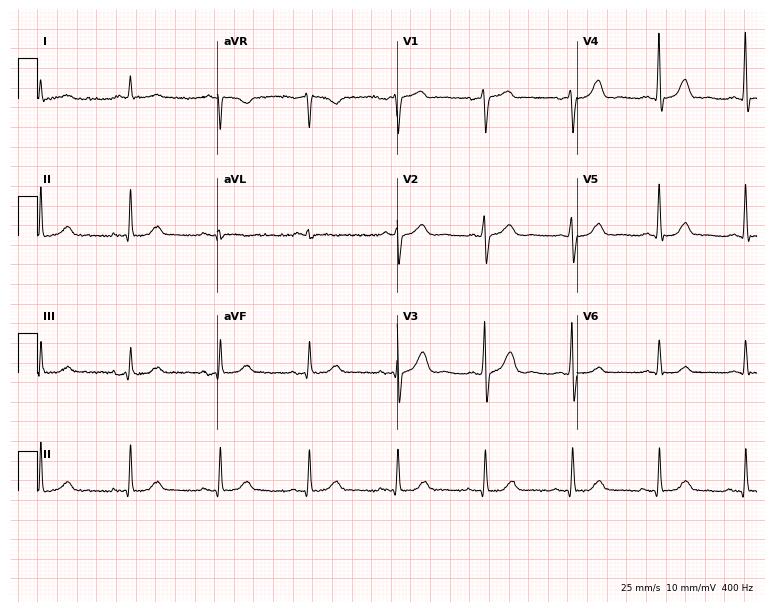
12-lead ECG from a 74-year-old male. Recorded interpretation: within normal limits.